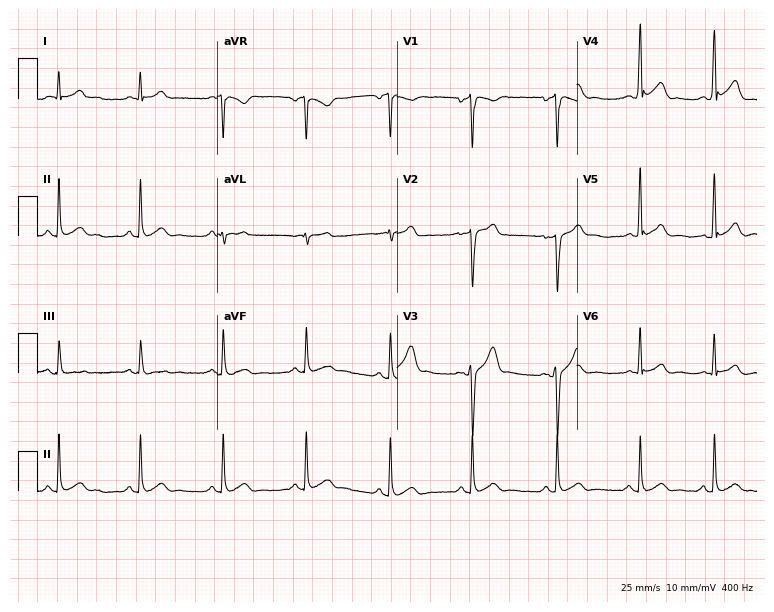
12-lead ECG from a male patient, 27 years old. No first-degree AV block, right bundle branch block, left bundle branch block, sinus bradycardia, atrial fibrillation or sinus tachycardia recorded for this tracing.